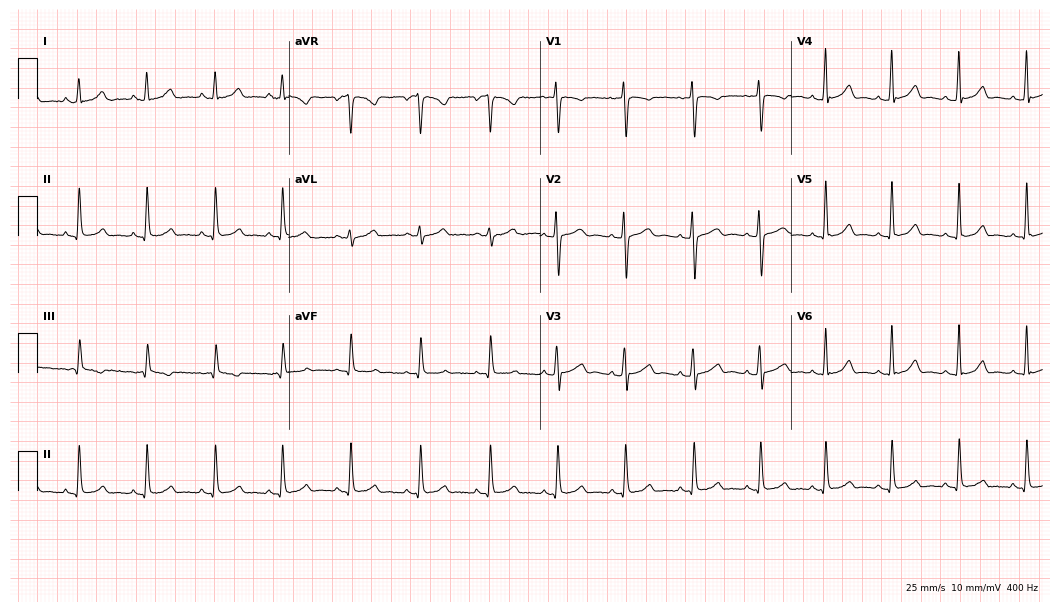
ECG — a 31-year-old woman. Labelled as a normal ECG.